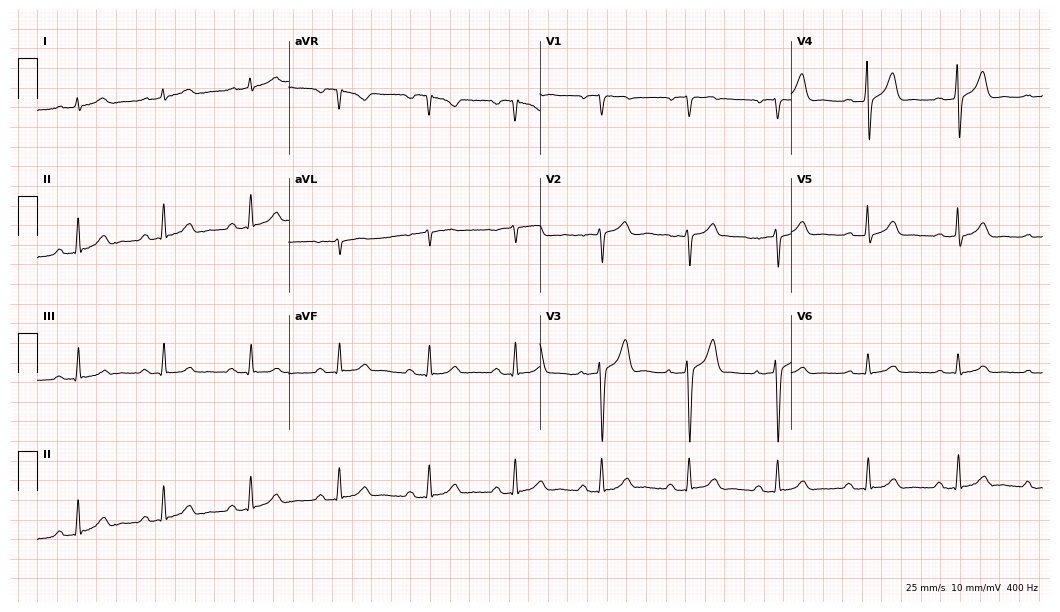
12-lead ECG (10.2-second recording at 400 Hz) from a male patient, 72 years old. Labelled as a normal ECG.